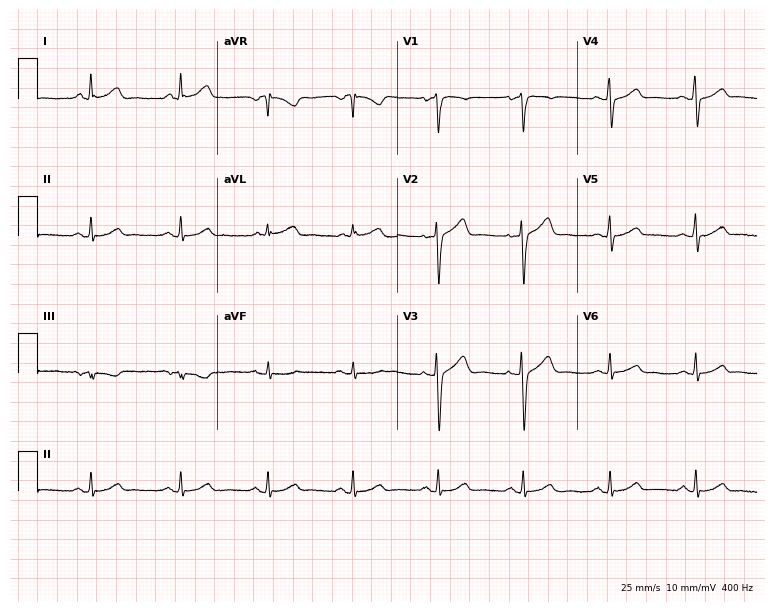
12-lead ECG from a 59-year-old female patient (7.3-second recording at 400 Hz). Recorded interpretation: within normal limits.